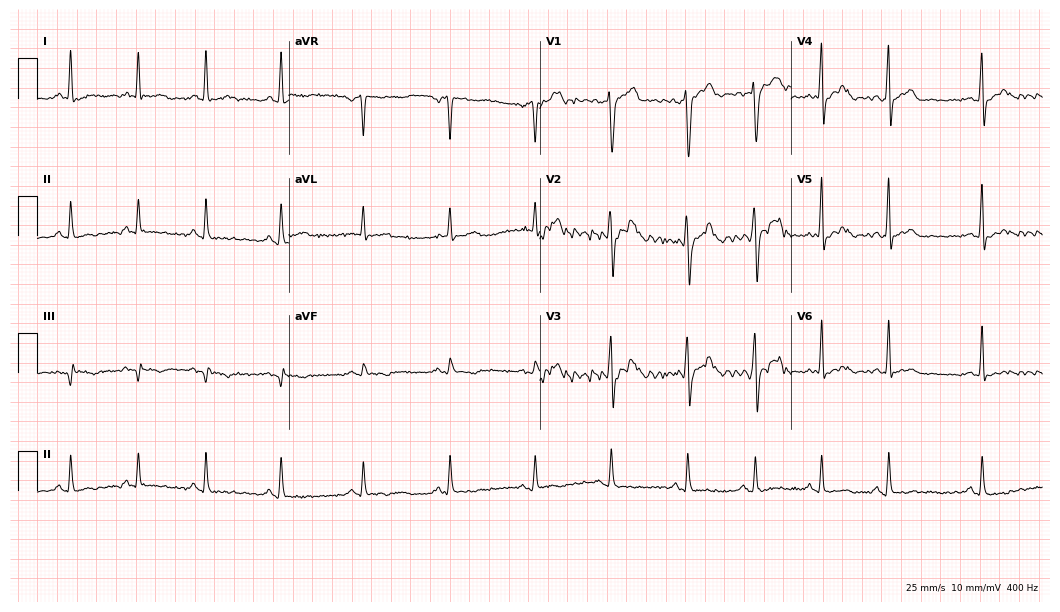
Electrocardiogram (10.2-second recording at 400 Hz), a male patient, 77 years old. Of the six screened findings (first-degree AV block, right bundle branch block, left bundle branch block, sinus bradycardia, atrial fibrillation, sinus tachycardia), none is recorded. Only these six findings were labelled.